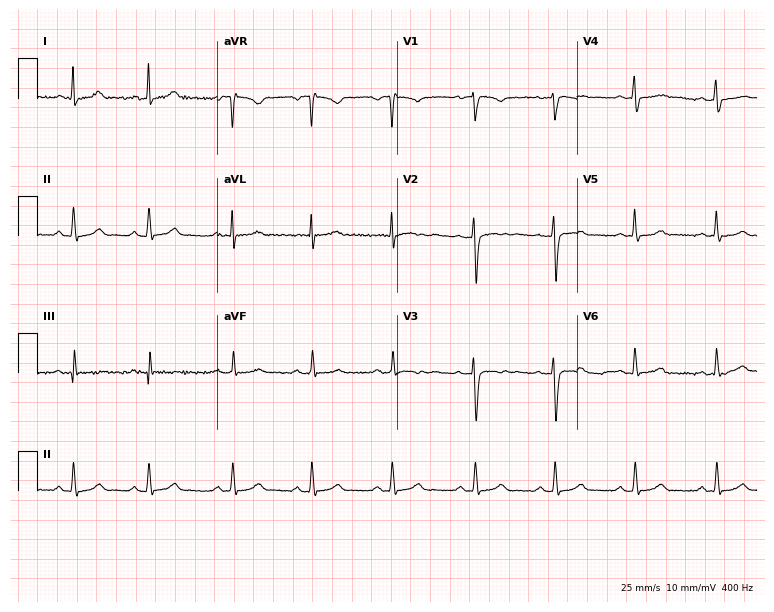
Electrocardiogram, a 38-year-old woman. Of the six screened findings (first-degree AV block, right bundle branch block, left bundle branch block, sinus bradycardia, atrial fibrillation, sinus tachycardia), none is recorded.